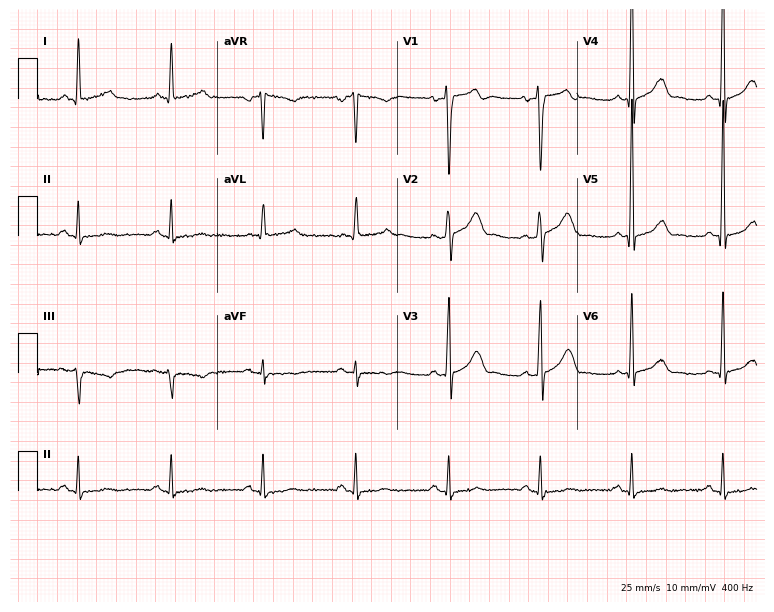
12-lead ECG (7.3-second recording at 400 Hz) from a male, 64 years old. Screened for six findings — first-degree AV block, right bundle branch block, left bundle branch block, sinus bradycardia, atrial fibrillation, sinus tachycardia — none is recorded. Findings outside these six are not listed.